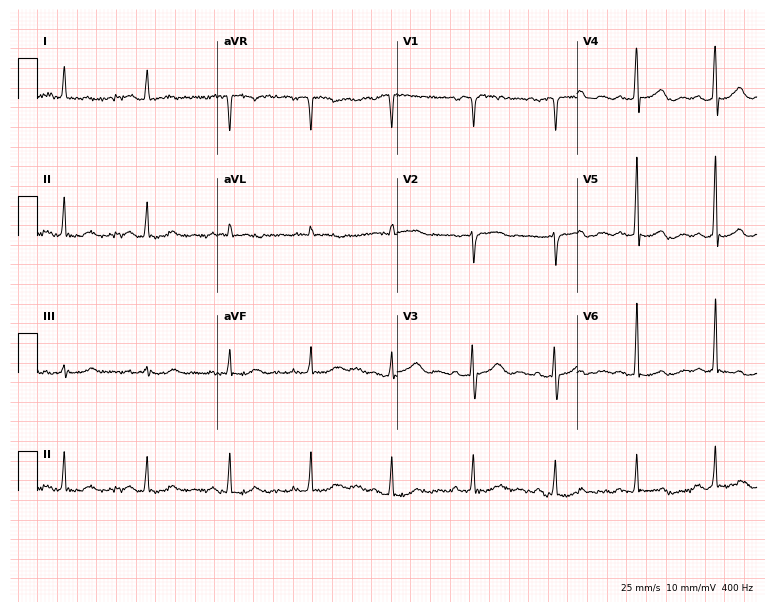
ECG (7.3-second recording at 400 Hz) — a female patient, 57 years old. Screened for six findings — first-degree AV block, right bundle branch block, left bundle branch block, sinus bradycardia, atrial fibrillation, sinus tachycardia — none is recorded. Findings outside these six are not listed.